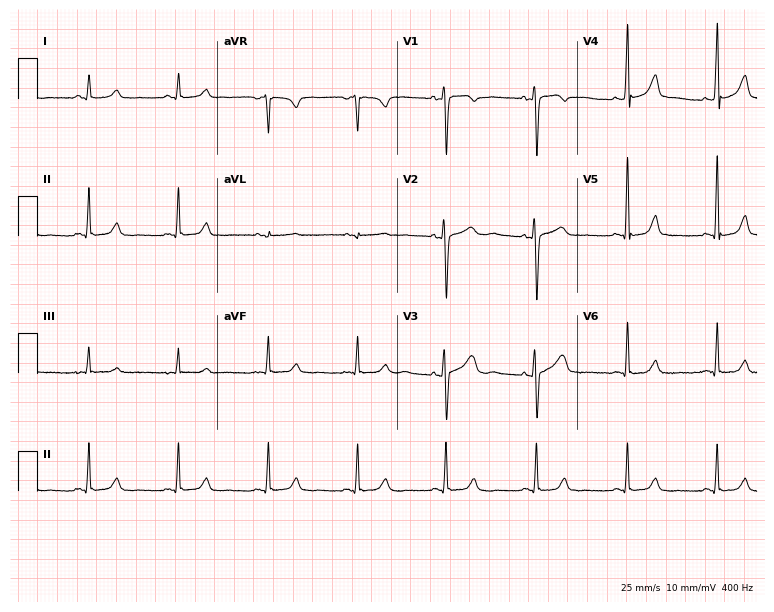
ECG (7.3-second recording at 400 Hz) — a 43-year-old female. Screened for six findings — first-degree AV block, right bundle branch block, left bundle branch block, sinus bradycardia, atrial fibrillation, sinus tachycardia — none is recorded.